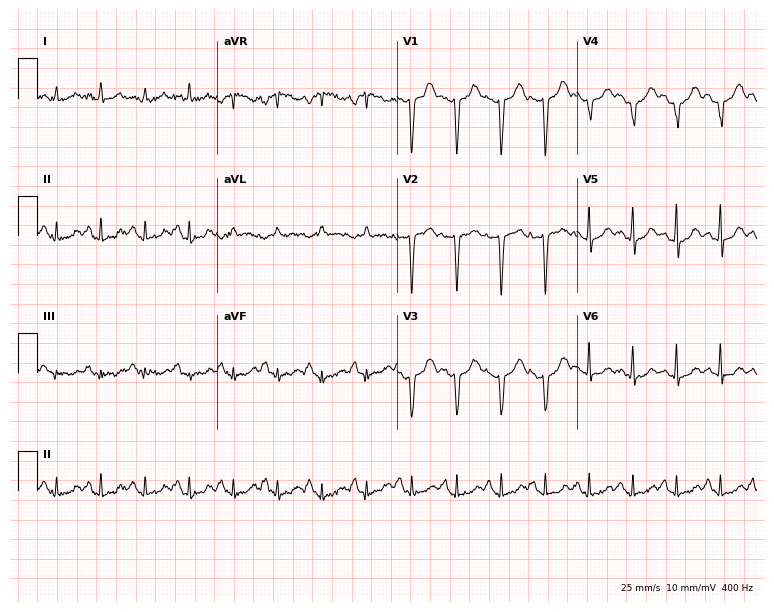
Resting 12-lead electrocardiogram (7.3-second recording at 400 Hz). Patient: a 46-year-old female. The tracing shows sinus tachycardia (a sinus rate of 100 beats per minute or more).